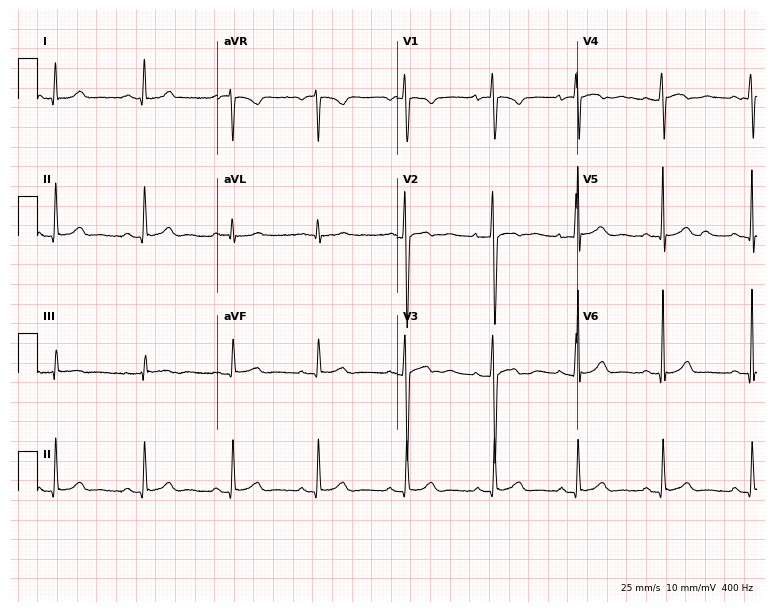
12-lead ECG from a man, 19 years old. Recorded interpretation: within normal limits.